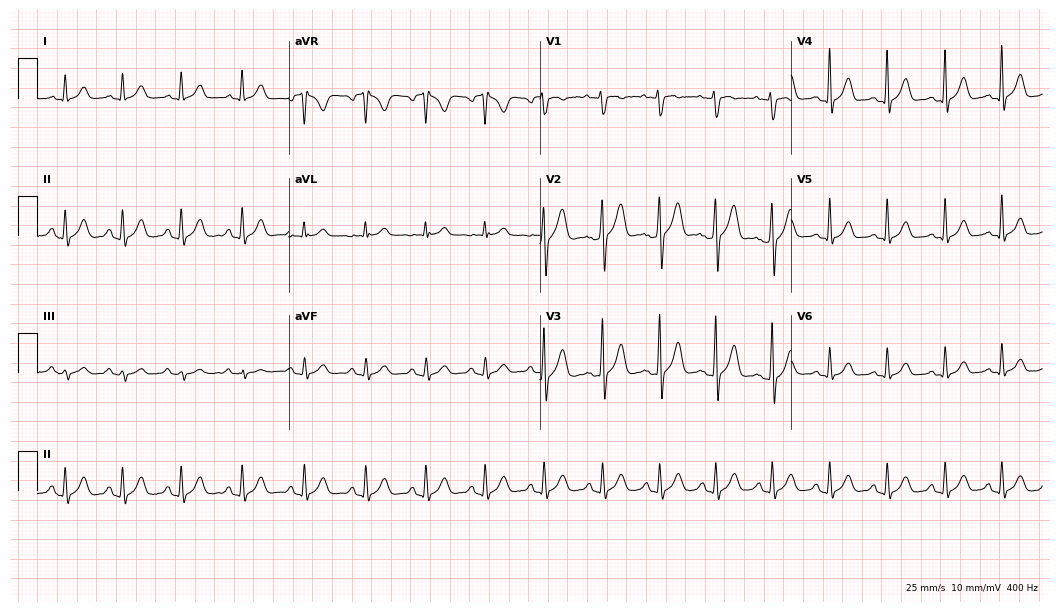
ECG (10.2-second recording at 400 Hz) — a 25-year-old man. Labelled as a normal ECG.